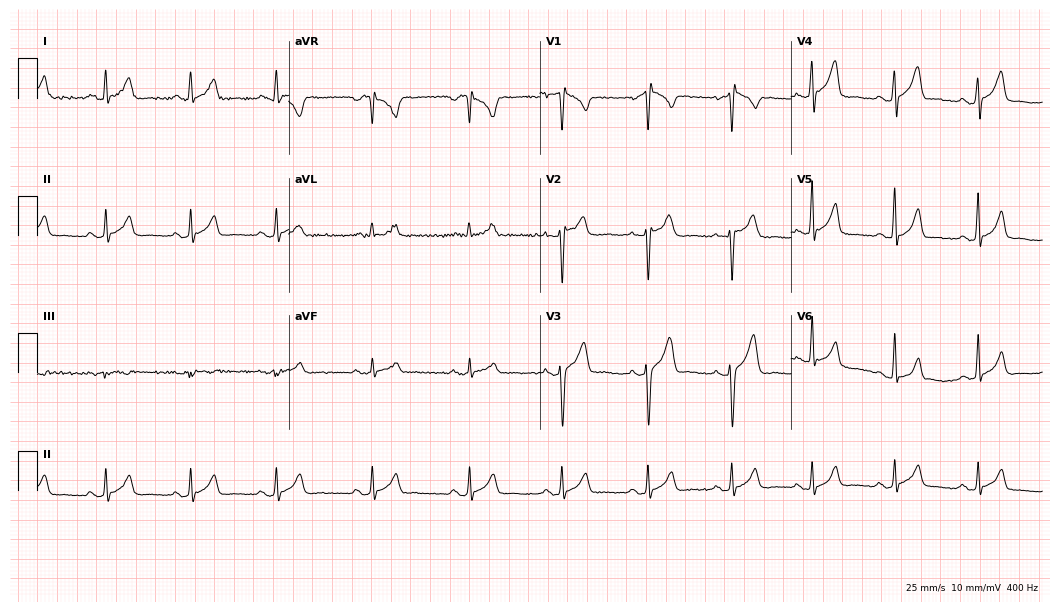
12-lead ECG from a man, 27 years old. Labelled as a normal ECG.